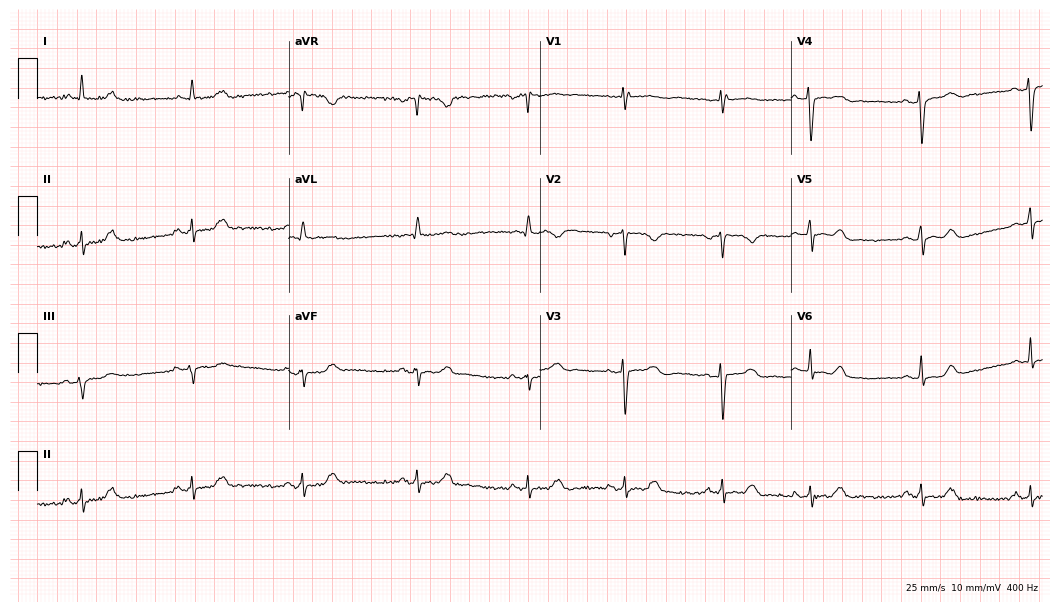
Electrocardiogram, a woman, 49 years old. Of the six screened findings (first-degree AV block, right bundle branch block, left bundle branch block, sinus bradycardia, atrial fibrillation, sinus tachycardia), none is recorded.